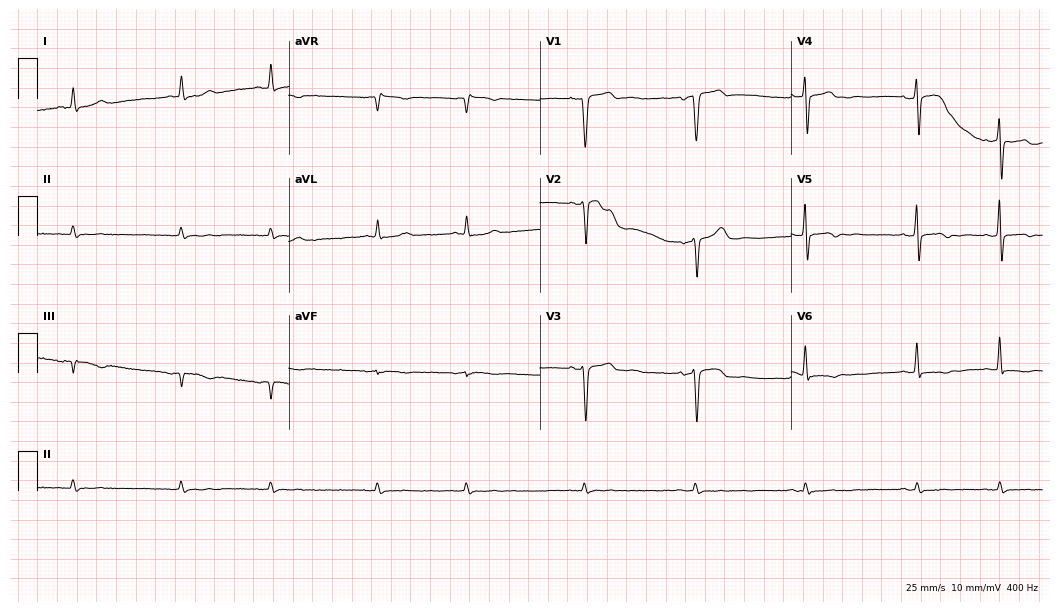
ECG (10.2-second recording at 400 Hz) — a female patient, 75 years old. Screened for six findings — first-degree AV block, right bundle branch block (RBBB), left bundle branch block (LBBB), sinus bradycardia, atrial fibrillation (AF), sinus tachycardia — none is recorded.